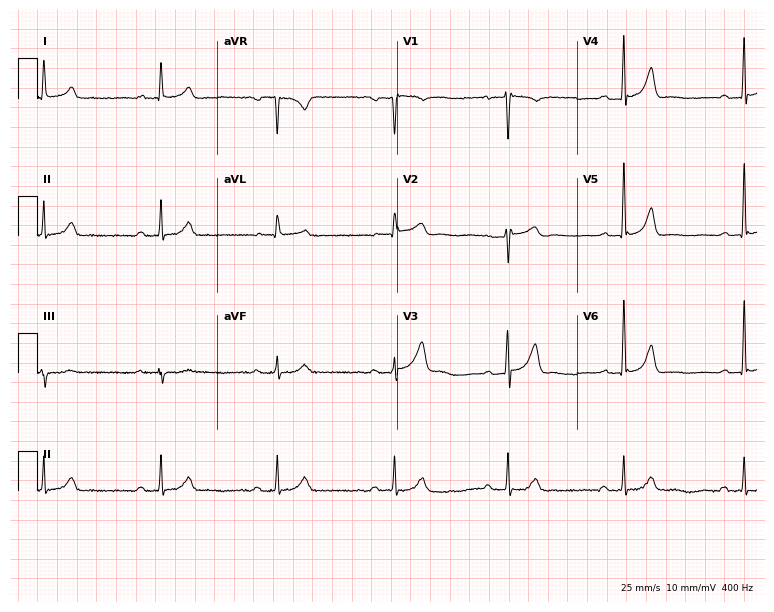
Electrocardiogram (7.3-second recording at 400 Hz), a male, 60 years old. Of the six screened findings (first-degree AV block, right bundle branch block, left bundle branch block, sinus bradycardia, atrial fibrillation, sinus tachycardia), none is recorded. Findings outside these six are not listed.